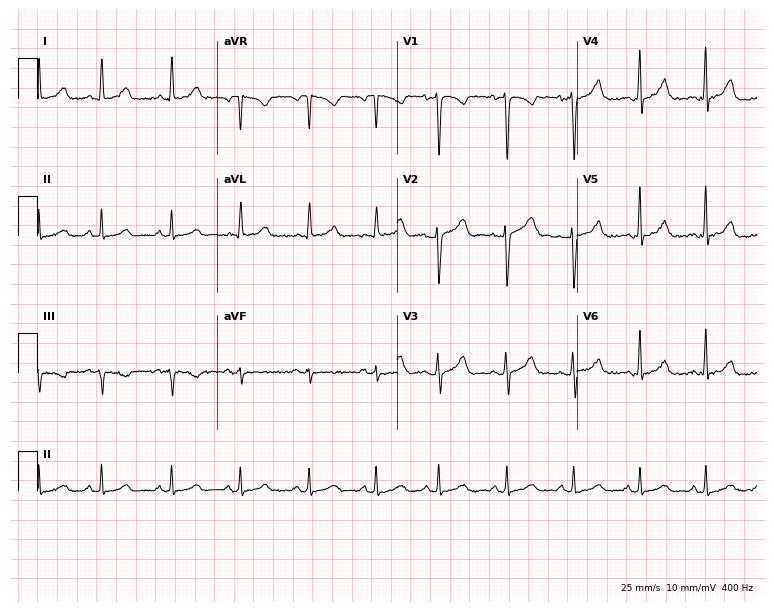
ECG — a 46-year-old woman. Labelled as a normal ECG.